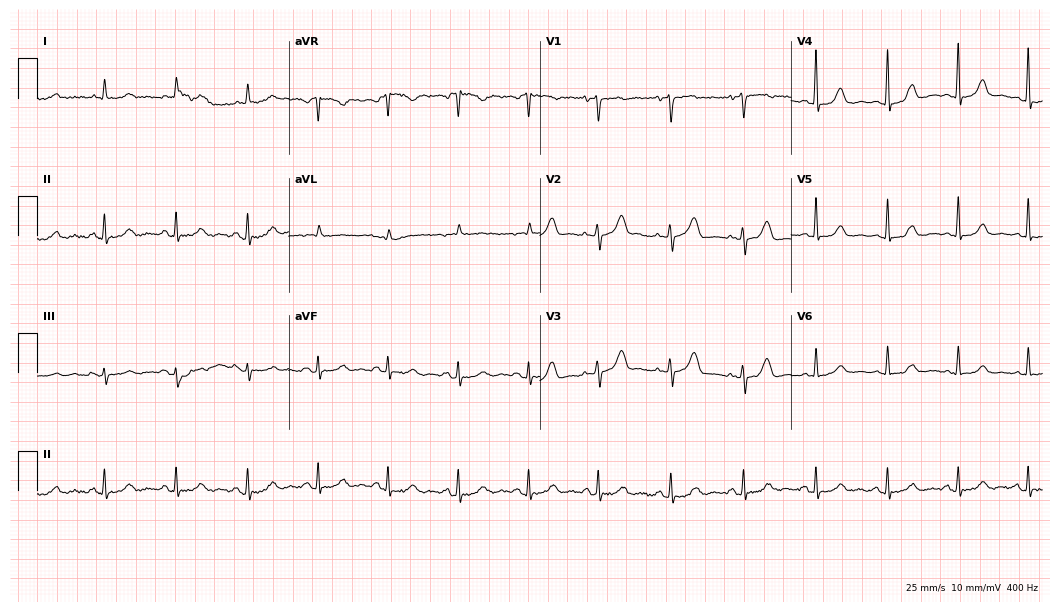
Standard 12-lead ECG recorded from a woman, 79 years old (10.2-second recording at 400 Hz). Read as a normal ECG.